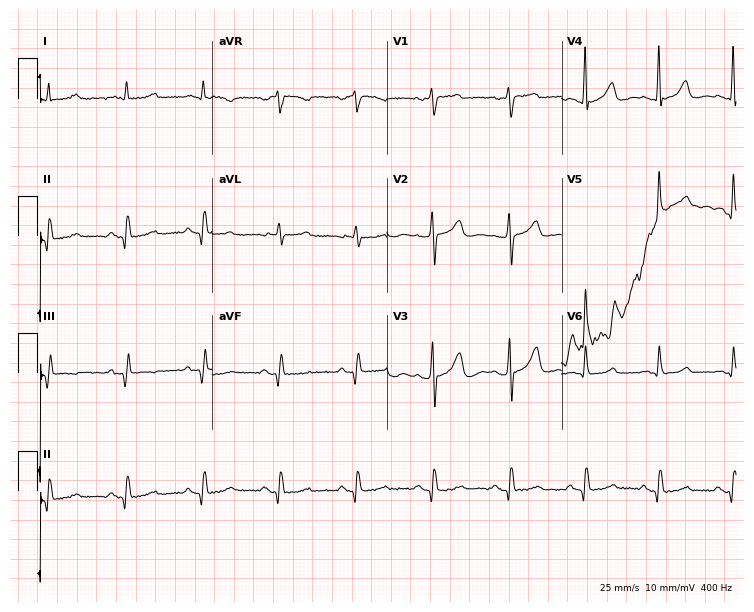
Standard 12-lead ECG recorded from a 68-year-old man. None of these six findings is recorded: first-degree AV block, right bundle branch block, left bundle branch block, sinus bradycardia, atrial fibrillation, sinus tachycardia.